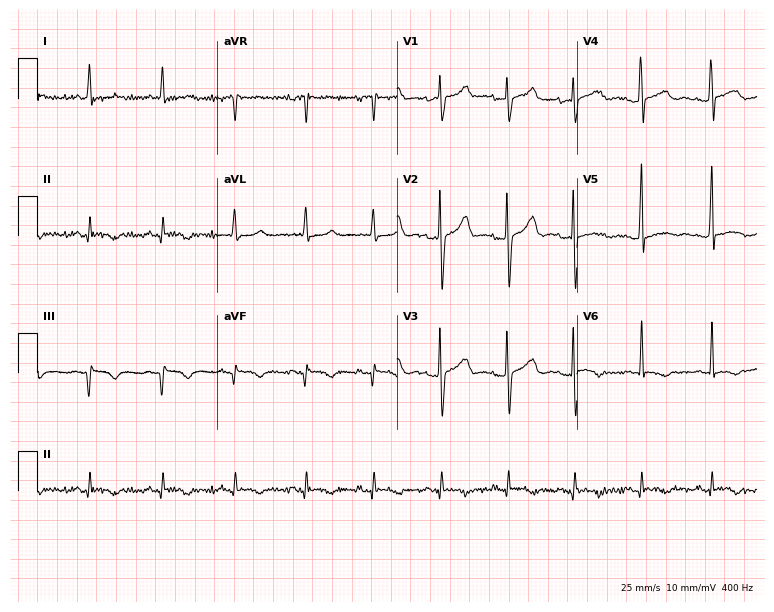
ECG (7.3-second recording at 400 Hz) — a 37-year-old male. Screened for six findings — first-degree AV block, right bundle branch block, left bundle branch block, sinus bradycardia, atrial fibrillation, sinus tachycardia — none is recorded.